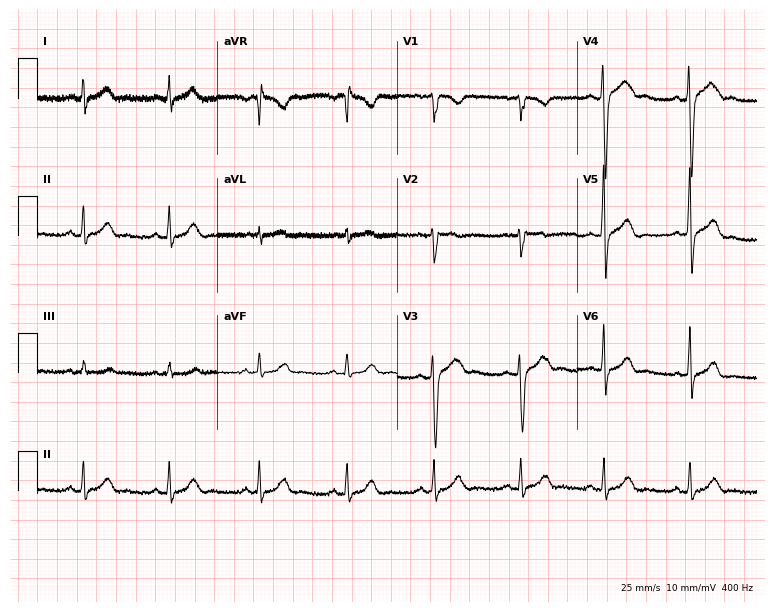
Electrocardiogram (7.3-second recording at 400 Hz), a 22-year-old male. Overall reading on record: normal ECG.